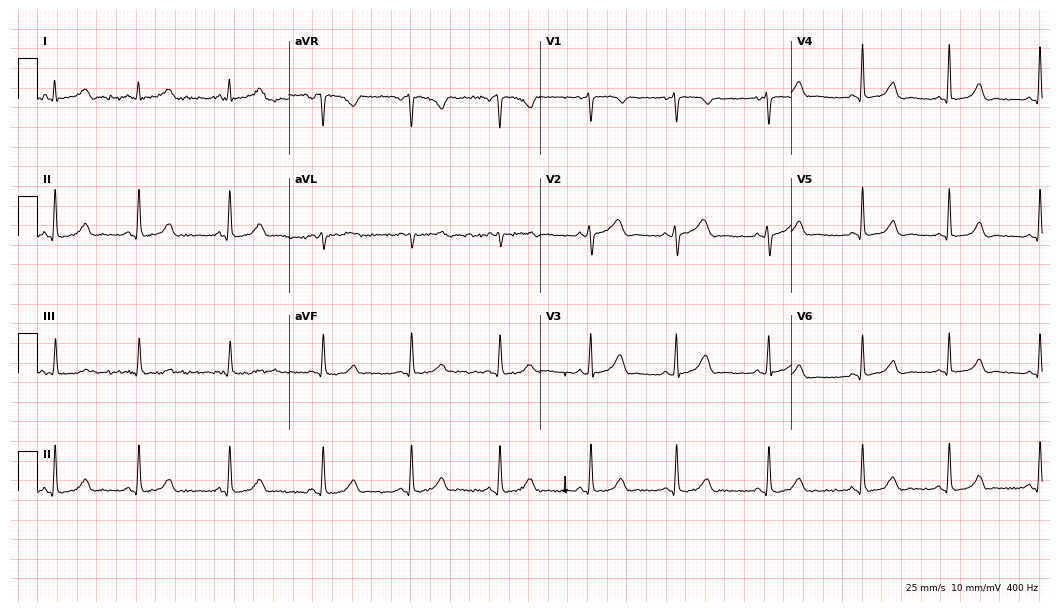
ECG — a 42-year-old female patient. Screened for six findings — first-degree AV block, right bundle branch block (RBBB), left bundle branch block (LBBB), sinus bradycardia, atrial fibrillation (AF), sinus tachycardia — none is recorded. Other findings, if any, are not listed.